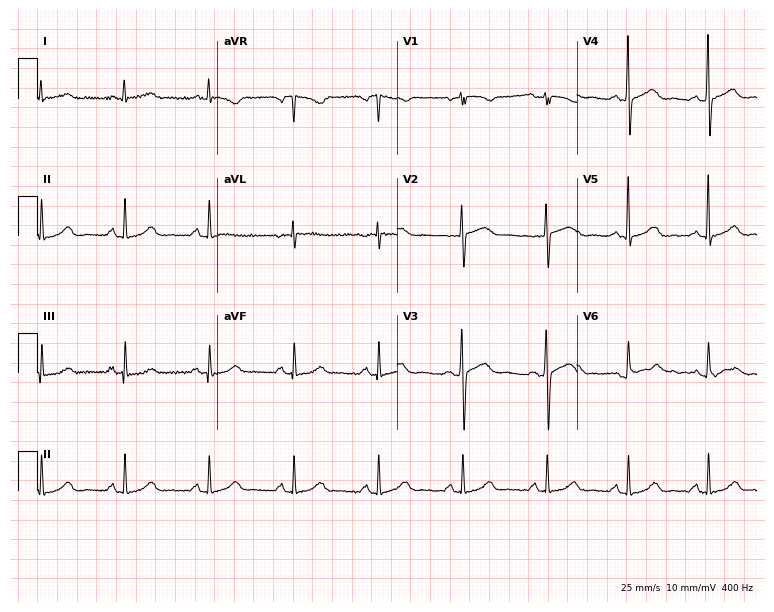
Standard 12-lead ECG recorded from a 59-year-old female. None of these six findings is recorded: first-degree AV block, right bundle branch block (RBBB), left bundle branch block (LBBB), sinus bradycardia, atrial fibrillation (AF), sinus tachycardia.